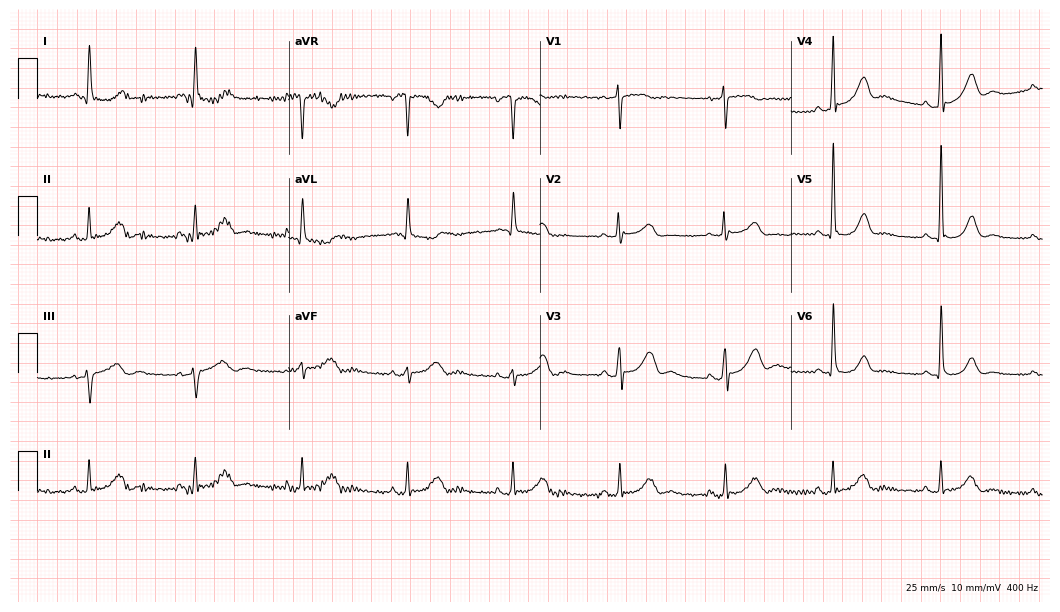
12-lead ECG (10.2-second recording at 400 Hz) from a woman, 72 years old. Screened for six findings — first-degree AV block, right bundle branch block, left bundle branch block, sinus bradycardia, atrial fibrillation, sinus tachycardia — none is recorded.